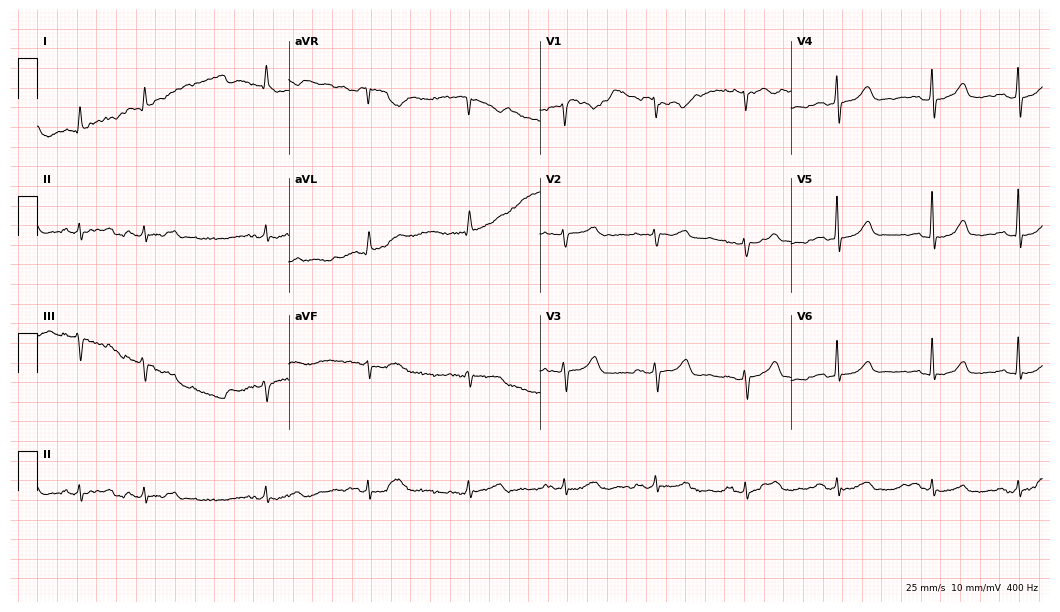
12-lead ECG from a female patient, 79 years old. No first-degree AV block, right bundle branch block, left bundle branch block, sinus bradycardia, atrial fibrillation or sinus tachycardia recorded for this tracing. Only these six findings were labelled.